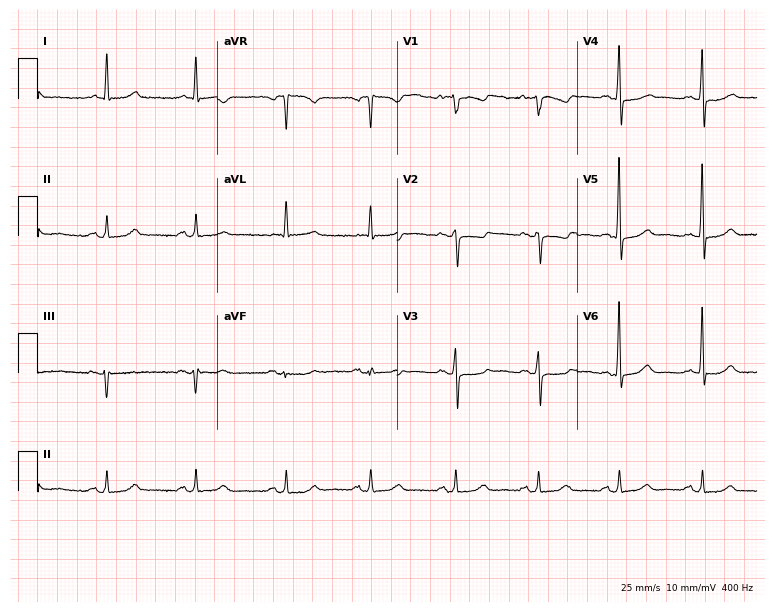
ECG — a 63-year-old woman. Screened for six findings — first-degree AV block, right bundle branch block (RBBB), left bundle branch block (LBBB), sinus bradycardia, atrial fibrillation (AF), sinus tachycardia — none is recorded. Other findings, if any, are not listed.